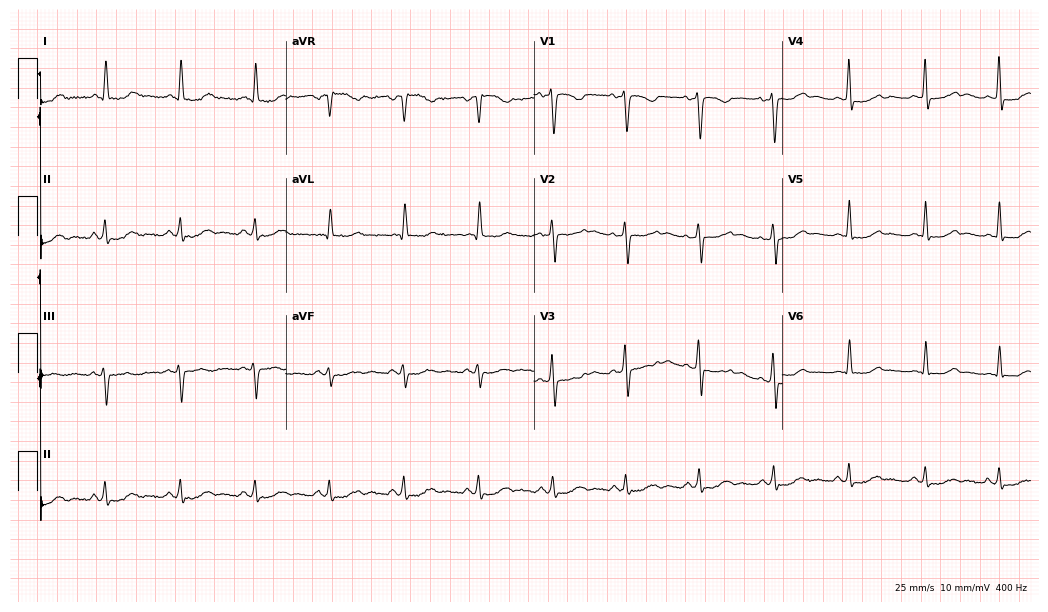
ECG — a female patient, 48 years old. Screened for six findings — first-degree AV block, right bundle branch block (RBBB), left bundle branch block (LBBB), sinus bradycardia, atrial fibrillation (AF), sinus tachycardia — none is recorded.